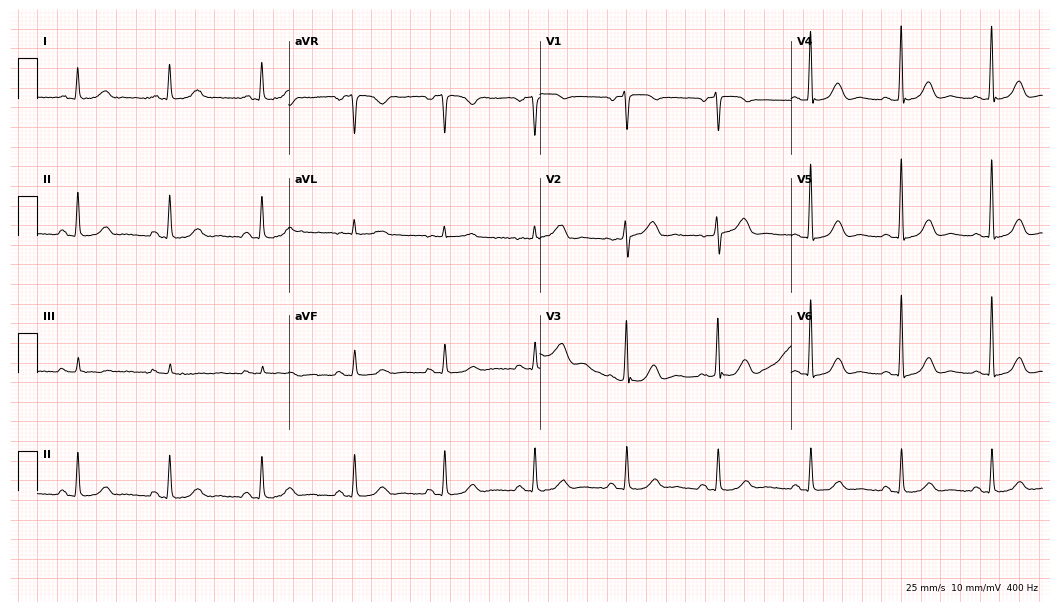
Standard 12-lead ECG recorded from a female patient, 60 years old (10.2-second recording at 400 Hz). Read as a normal ECG.